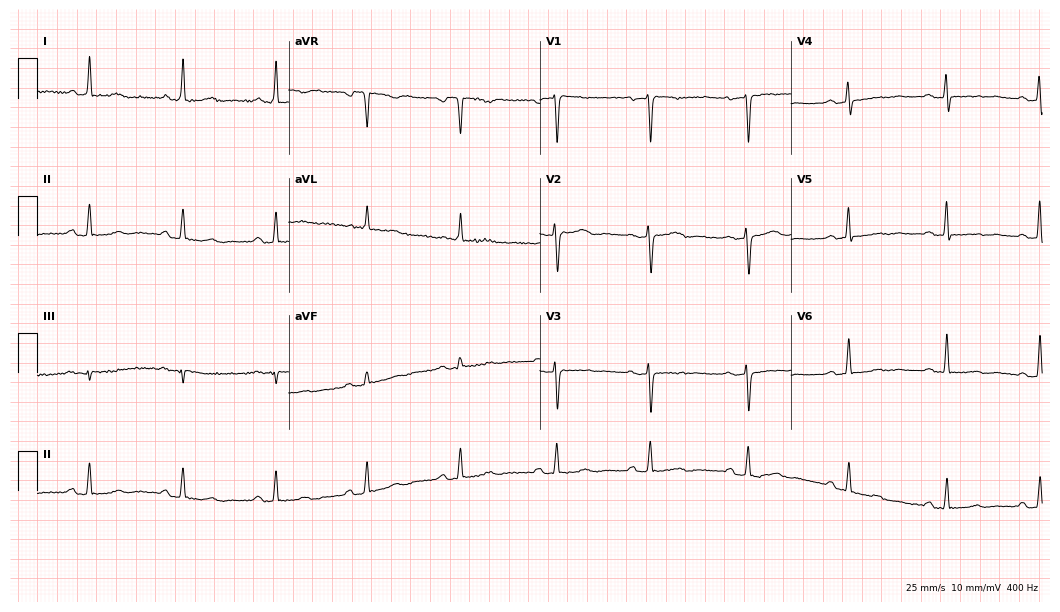
Electrocardiogram, a 59-year-old woman. Overall reading on record: normal ECG.